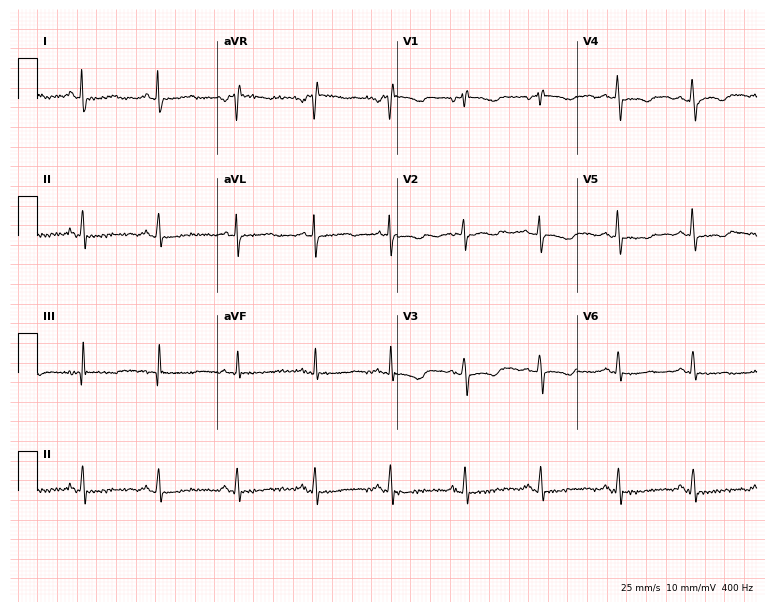
Resting 12-lead electrocardiogram (7.3-second recording at 400 Hz). Patient: a female, 51 years old. Read as a normal ECG.